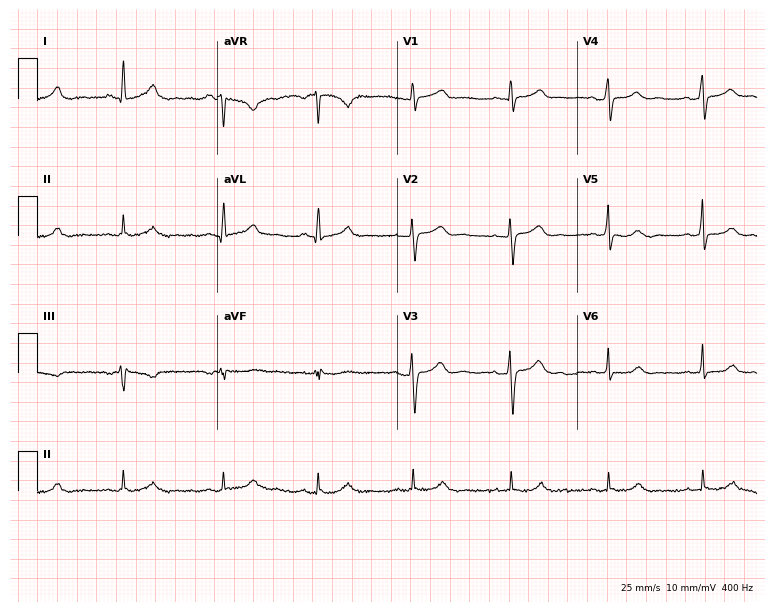
12-lead ECG (7.3-second recording at 400 Hz) from a woman, 50 years old. Labelled as a normal ECG.